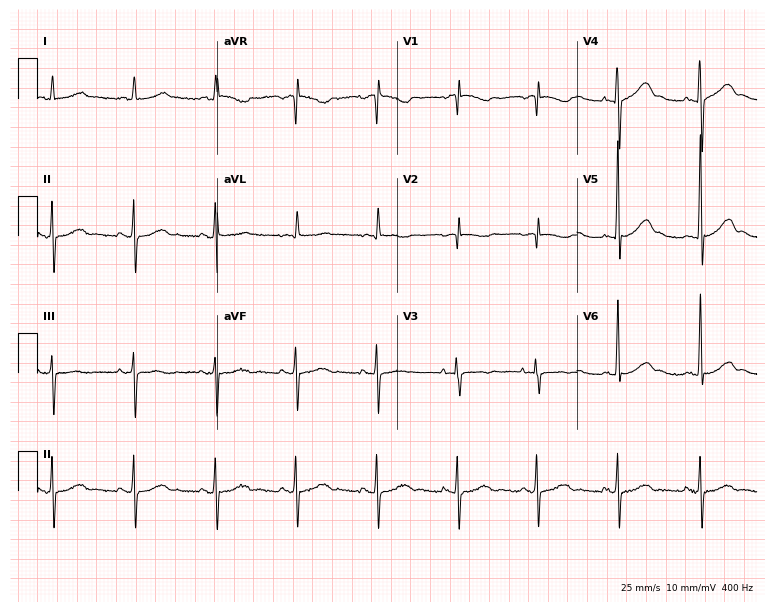
ECG — a female, 69 years old. Screened for six findings — first-degree AV block, right bundle branch block (RBBB), left bundle branch block (LBBB), sinus bradycardia, atrial fibrillation (AF), sinus tachycardia — none is recorded. Findings outside these six are not listed.